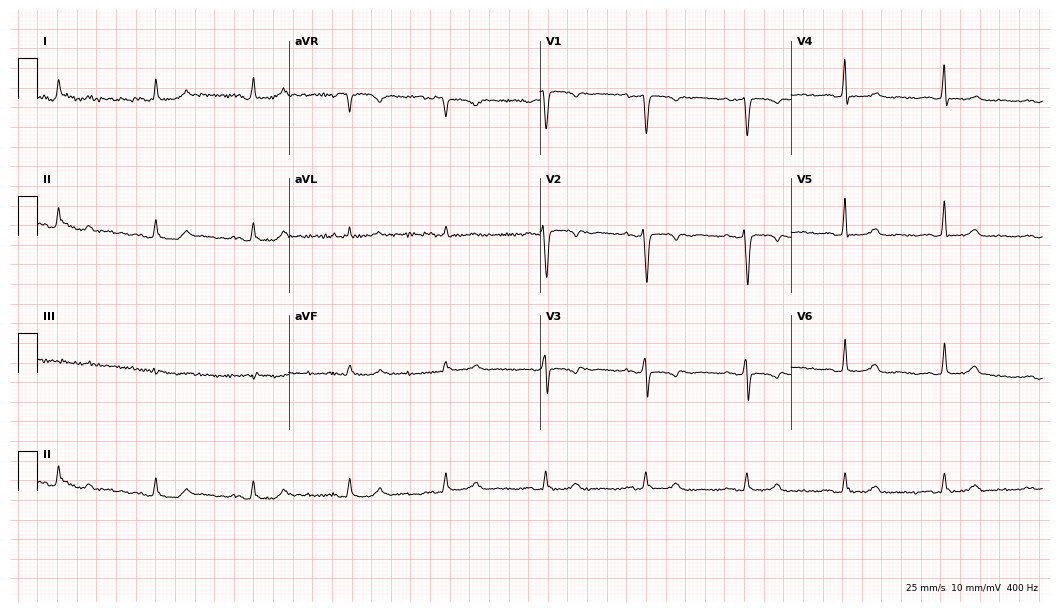
Electrocardiogram, a female patient, 70 years old. Of the six screened findings (first-degree AV block, right bundle branch block, left bundle branch block, sinus bradycardia, atrial fibrillation, sinus tachycardia), none is recorded.